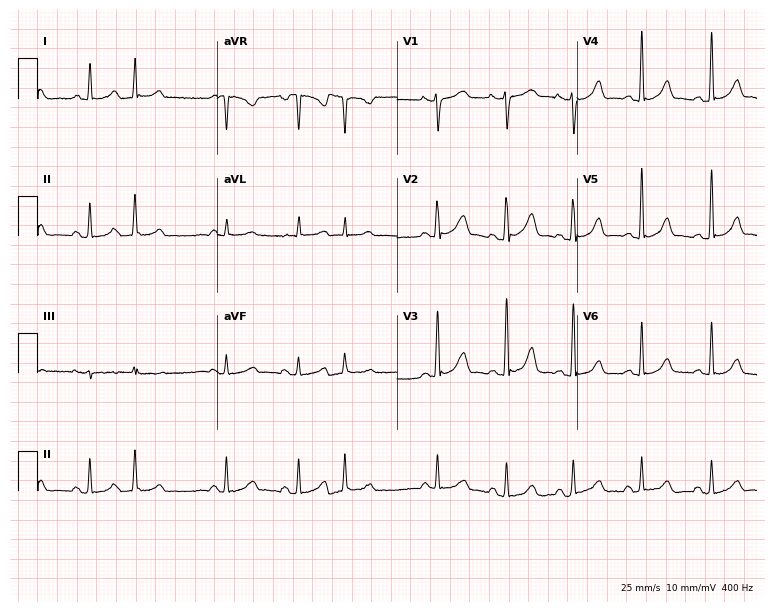
ECG (7.3-second recording at 400 Hz) — a woman, 31 years old. Screened for six findings — first-degree AV block, right bundle branch block, left bundle branch block, sinus bradycardia, atrial fibrillation, sinus tachycardia — none is recorded.